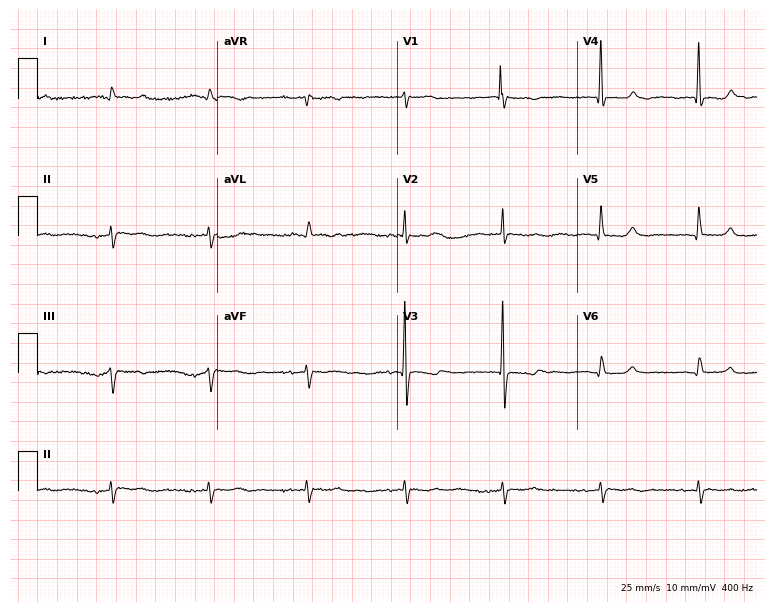
Electrocardiogram, a 77-year-old man. Of the six screened findings (first-degree AV block, right bundle branch block (RBBB), left bundle branch block (LBBB), sinus bradycardia, atrial fibrillation (AF), sinus tachycardia), none is recorded.